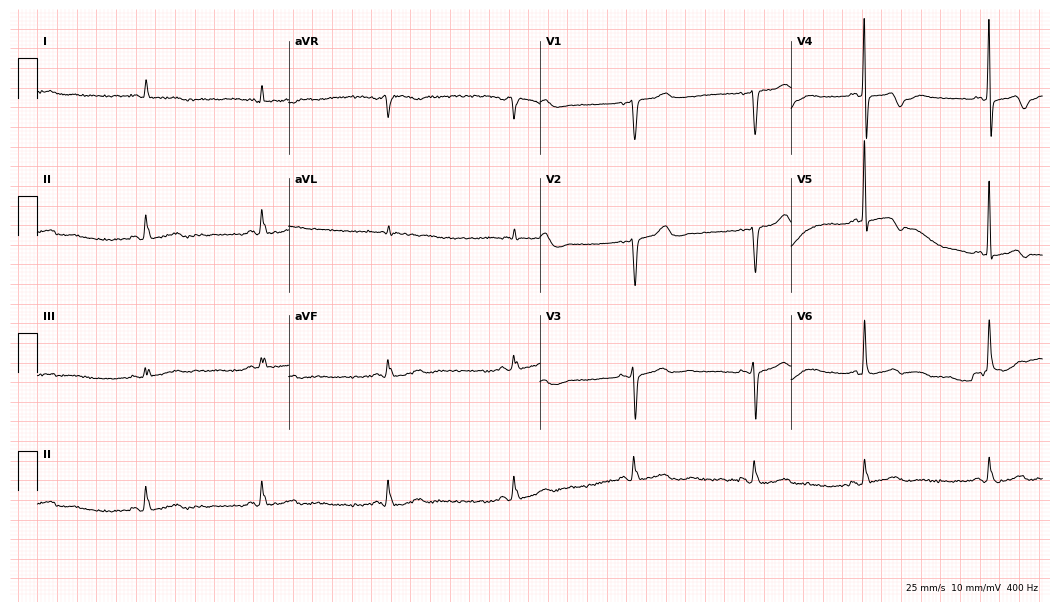
ECG (10.2-second recording at 400 Hz) — a female, 77 years old. Screened for six findings — first-degree AV block, right bundle branch block (RBBB), left bundle branch block (LBBB), sinus bradycardia, atrial fibrillation (AF), sinus tachycardia — none is recorded.